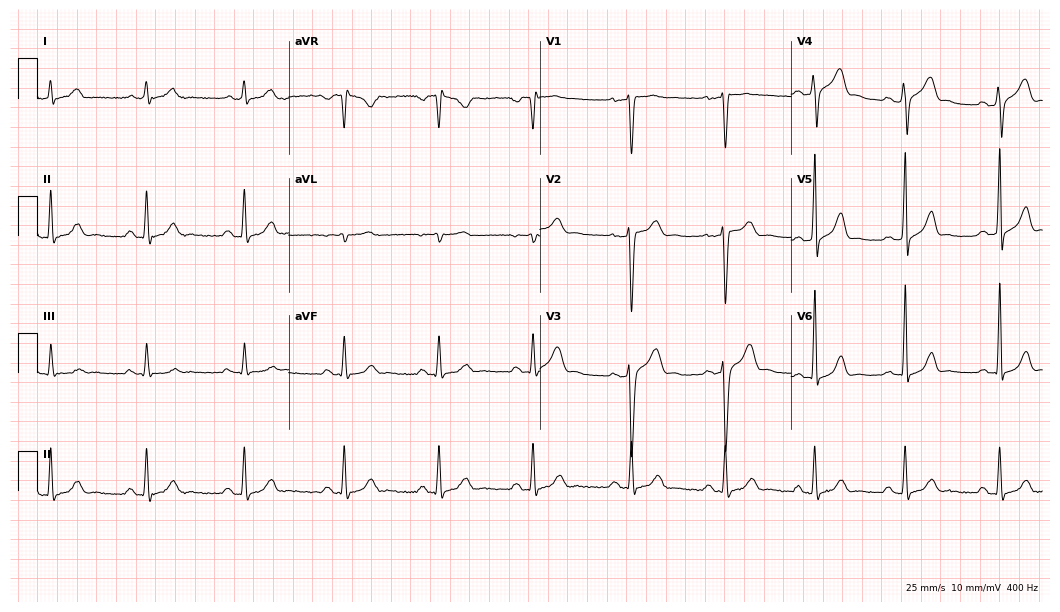
ECG (10.2-second recording at 400 Hz) — a male, 26 years old. Labelled as a normal ECG.